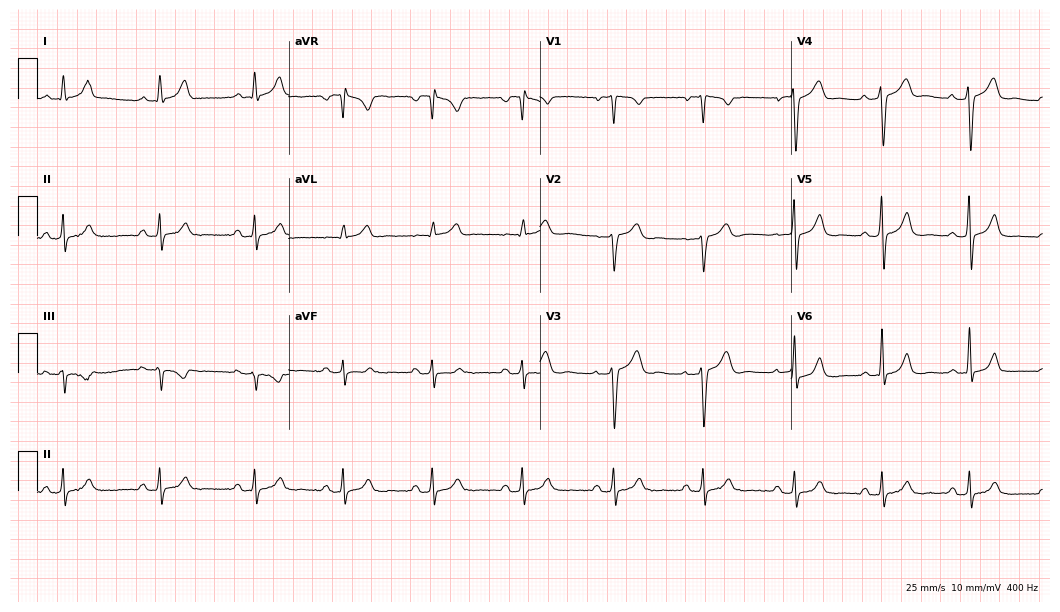
Electrocardiogram (10.2-second recording at 400 Hz), a female patient, 37 years old. Overall reading on record: normal ECG.